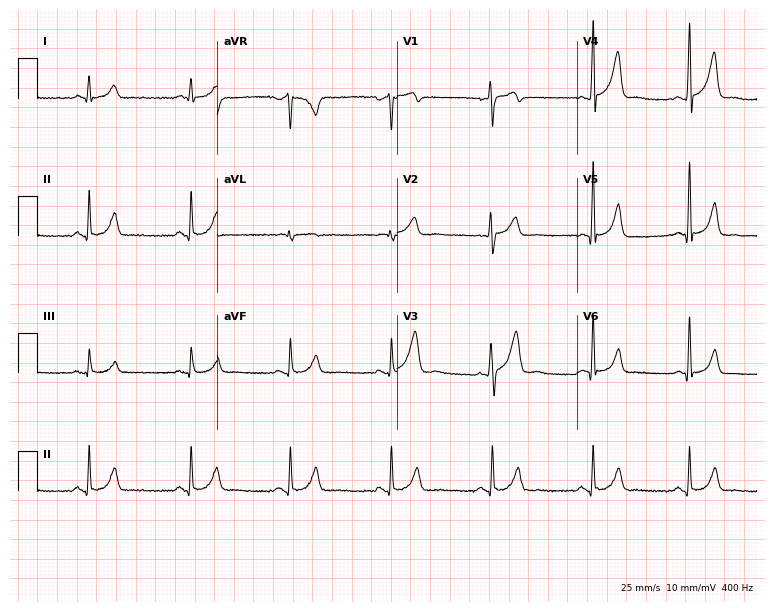
12-lead ECG (7.3-second recording at 400 Hz) from a male patient, 54 years old. Labelled as a normal ECG.